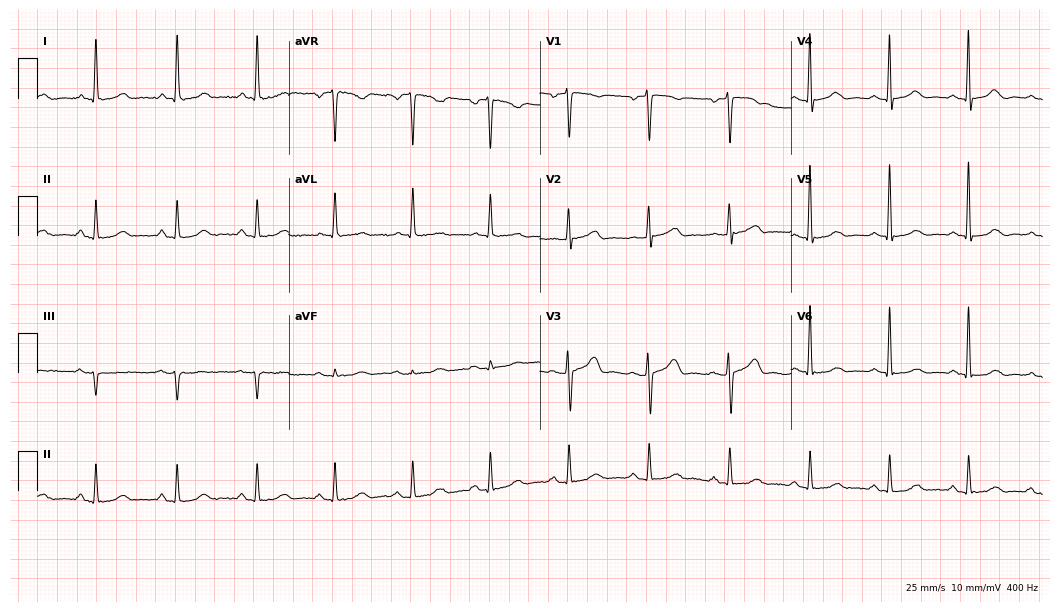
12-lead ECG from a female, 63 years old (10.2-second recording at 400 Hz). No first-degree AV block, right bundle branch block, left bundle branch block, sinus bradycardia, atrial fibrillation or sinus tachycardia recorded for this tracing. Only these six findings were labelled.